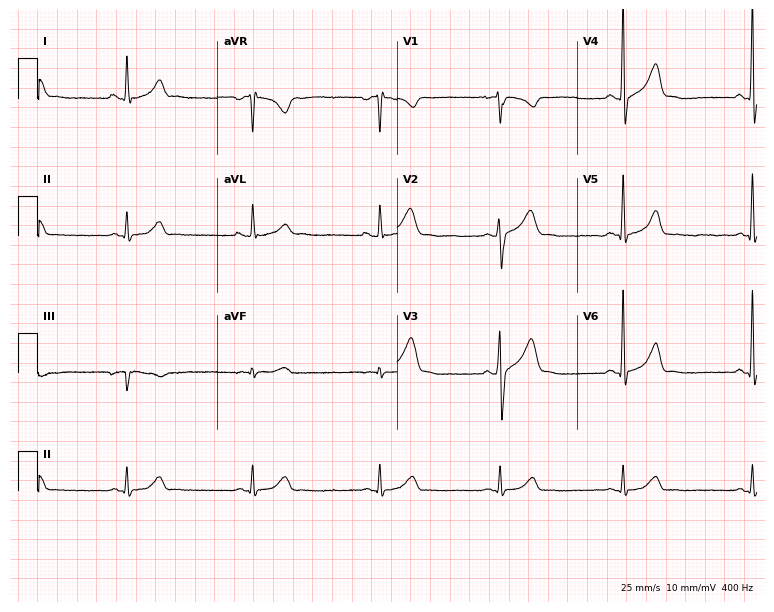
Standard 12-lead ECG recorded from a 35-year-old man (7.3-second recording at 400 Hz). The tracing shows sinus bradycardia (a sinus rate of 50 beats per minute or less).